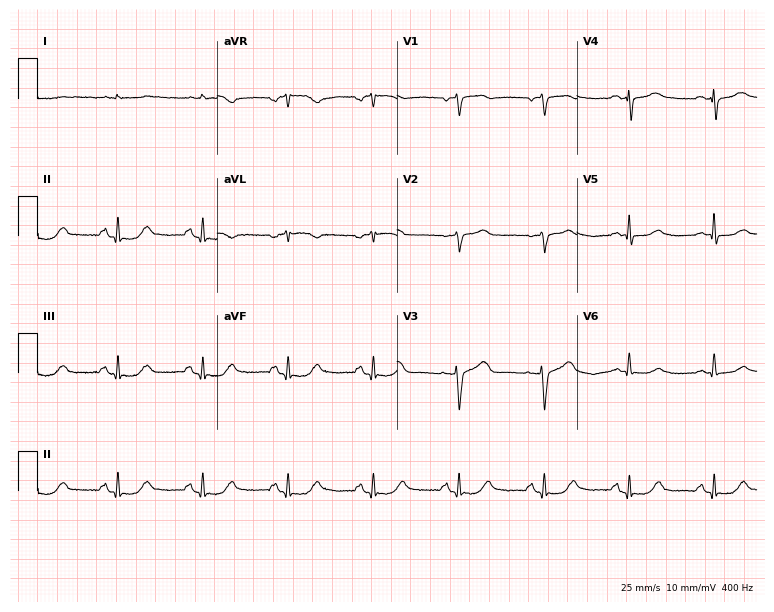
Resting 12-lead electrocardiogram (7.3-second recording at 400 Hz). Patient: a male, 80 years old. None of these six findings is recorded: first-degree AV block, right bundle branch block, left bundle branch block, sinus bradycardia, atrial fibrillation, sinus tachycardia. Only these six findings were labelled.